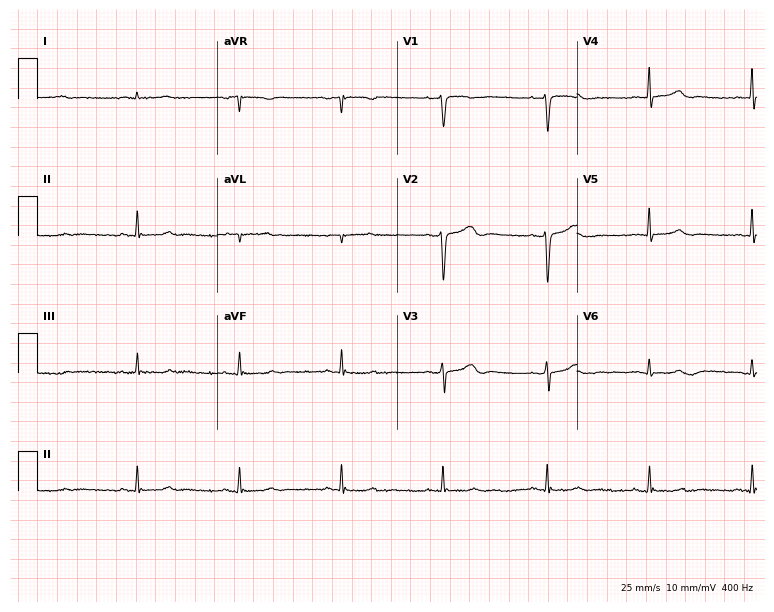
ECG — a woman, 52 years old. Screened for six findings — first-degree AV block, right bundle branch block (RBBB), left bundle branch block (LBBB), sinus bradycardia, atrial fibrillation (AF), sinus tachycardia — none is recorded.